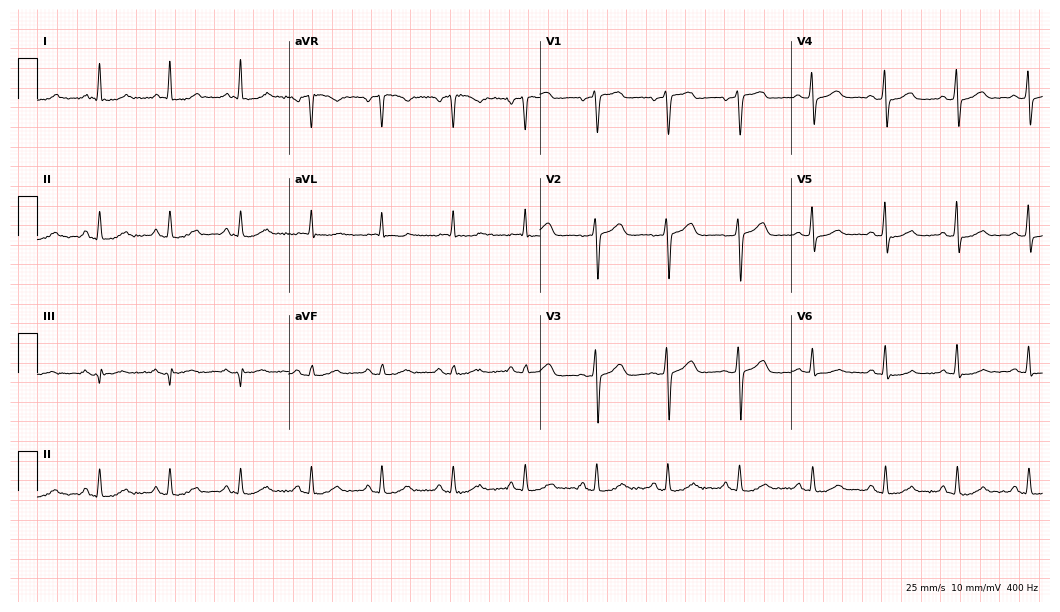
12-lead ECG (10.2-second recording at 400 Hz) from a female patient, 70 years old. Screened for six findings — first-degree AV block, right bundle branch block (RBBB), left bundle branch block (LBBB), sinus bradycardia, atrial fibrillation (AF), sinus tachycardia — none is recorded. Only these six findings were labelled.